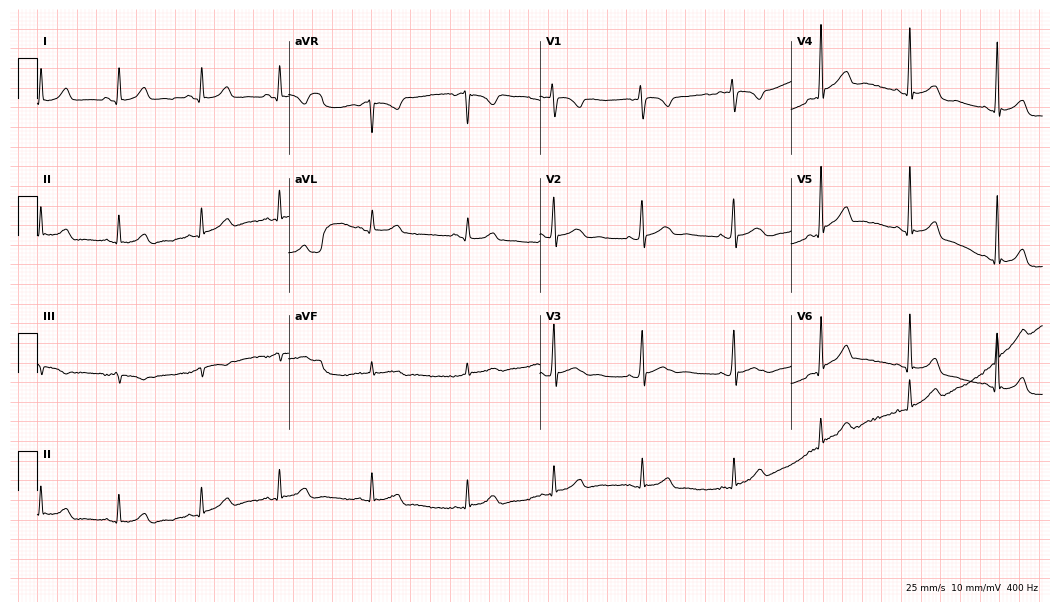
Standard 12-lead ECG recorded from a woman, 18 years old (10.2-second recording at 400 Hz). Read as a normal ECG.